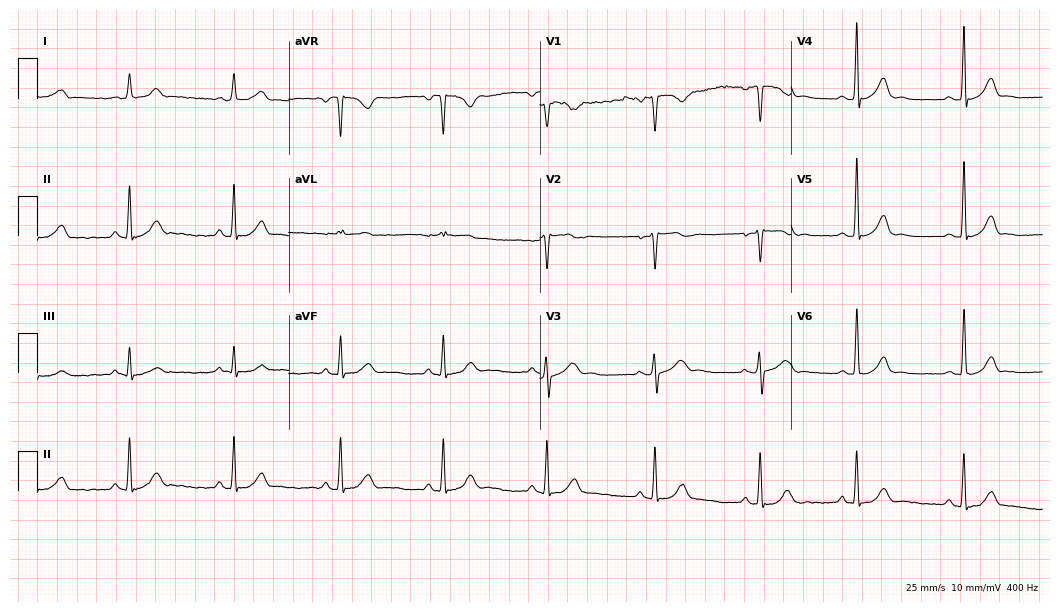
Standard 12-lead ECG recorded from a woman, 37 years old (10.2-second recording at 400 Hz). Read as a normal ECG.